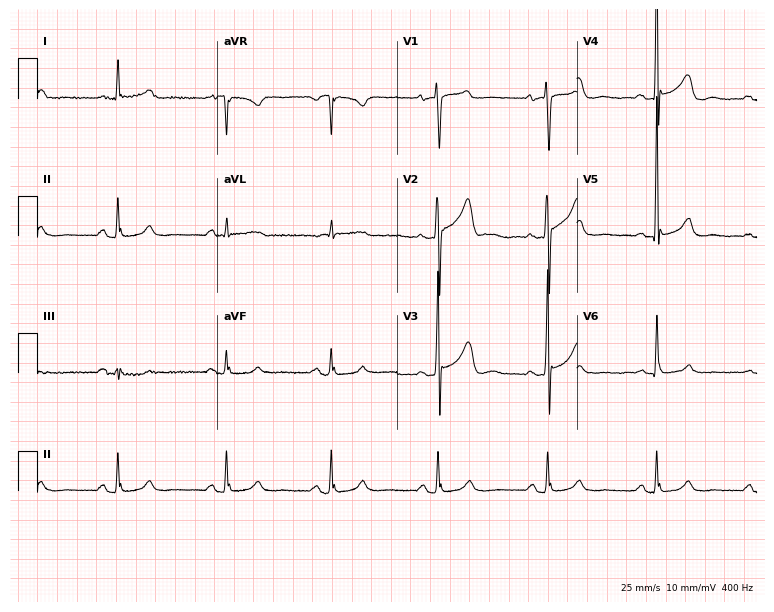
12-lead ECG from a male, 56 years old (7.3-second recording at 400 Hz). No first-degree AV block, right bundle branch block, left bundle branch block, sinus bradycardia, atrial fibrillation or sinus tachycardia recorded for this tracing. Findings outside these six are not listed.